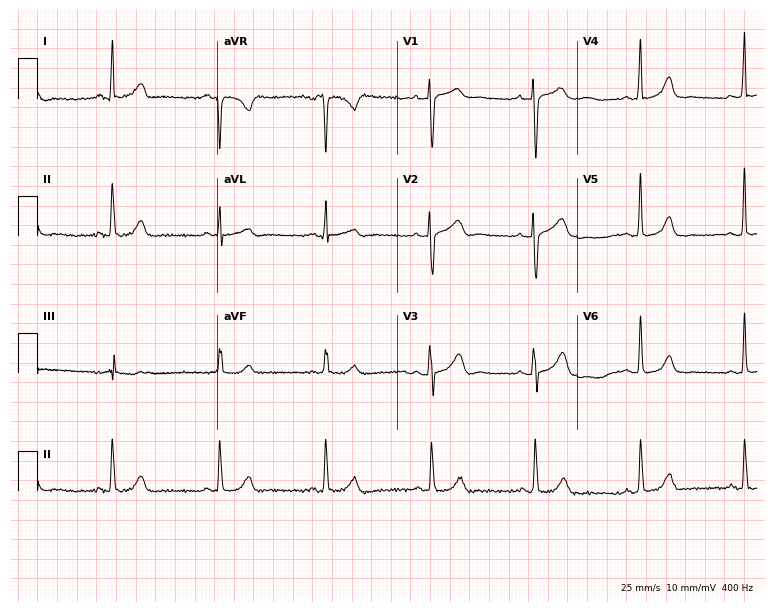
Standard 12-lead ECG recorded from a female patient, 36 years old (7.3-second recording at 400 Hz). Read as a normal ECG.